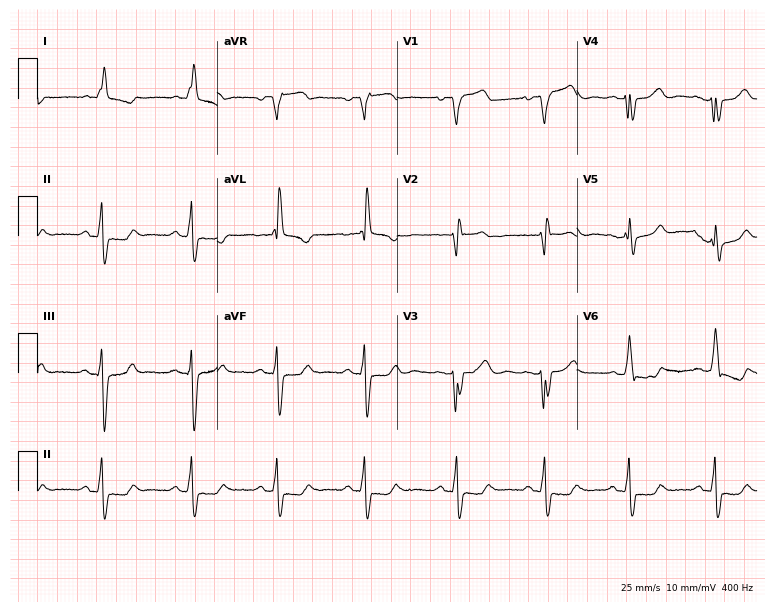
Electrocardiogram (7.3-second recording at 400 Hz), a 76-year-old man. Interpretation includes right bundle branch block (RBBB).